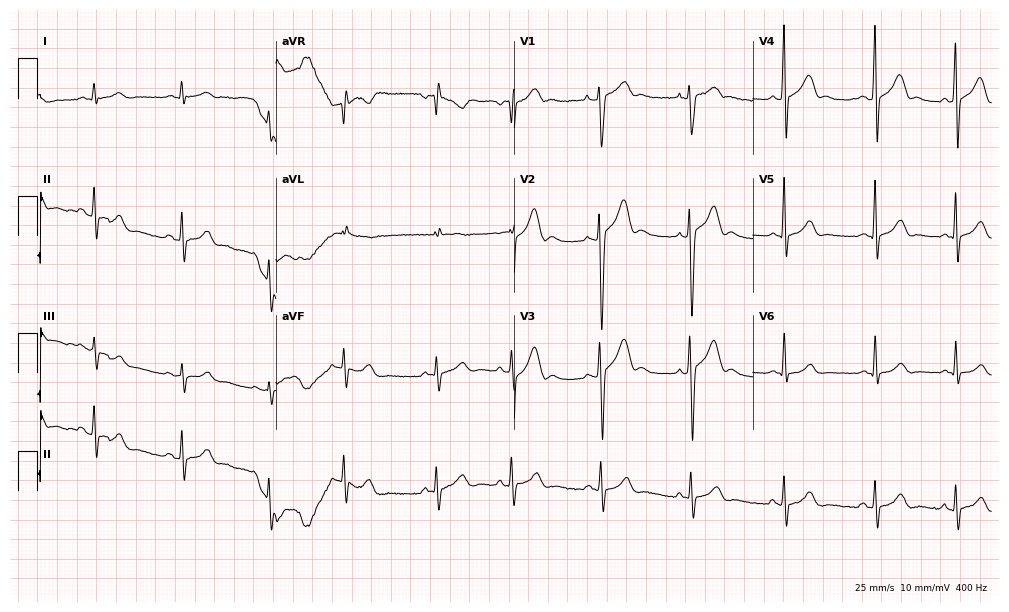
ECG — a male patient, 17 years old. Labelled as a normal ECG.